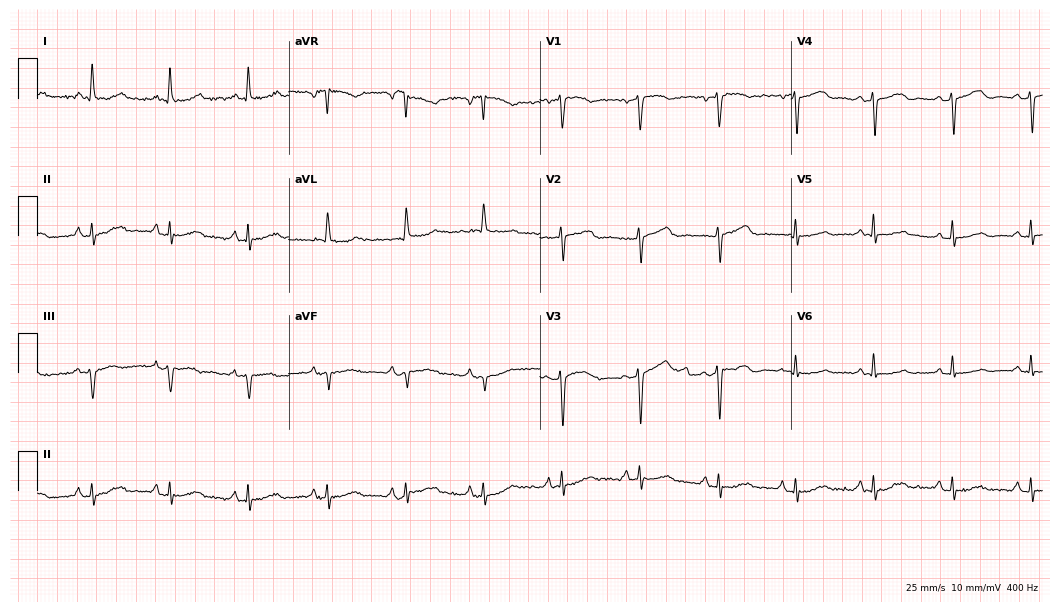
12-lead ECG from a woman, 69 years old. Screened for six findings — first-degree AV block, right bundle branch block, left bundle branch block, sinus bradycardia, atrial fibrillation, sinus tachycardia — none is recorded. Only these six findings were labelled.